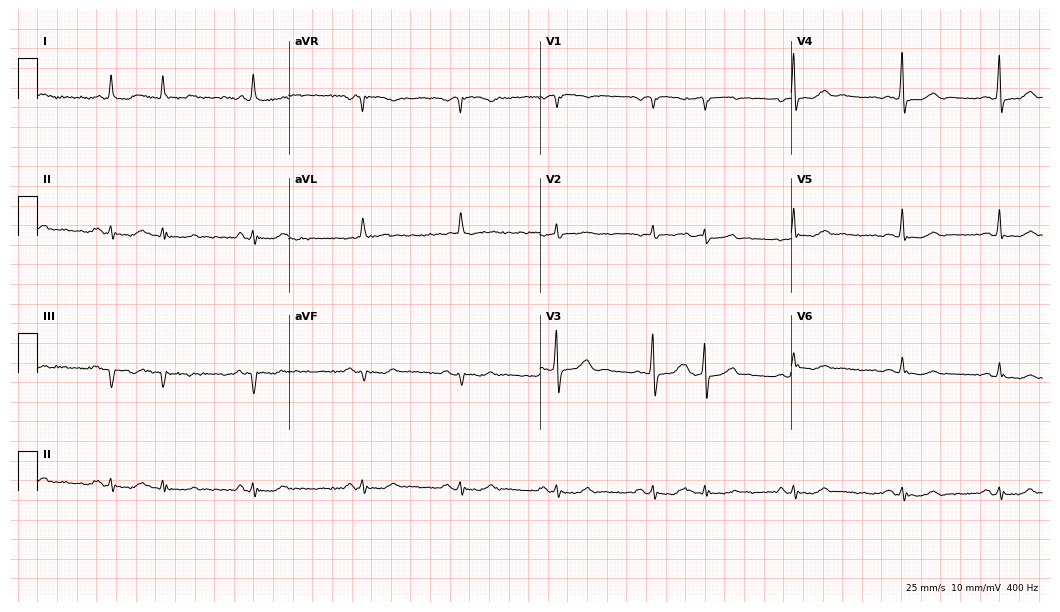
12-lead ECG (10.2-second recording at 400 Hz) from a man, 78 years old. Screened for six findings — first-degree AV block, right bundle branch block, left bundle branch block, sinus bradycardia, atrial fibrillation, sinus tachycardia — none is recorded.